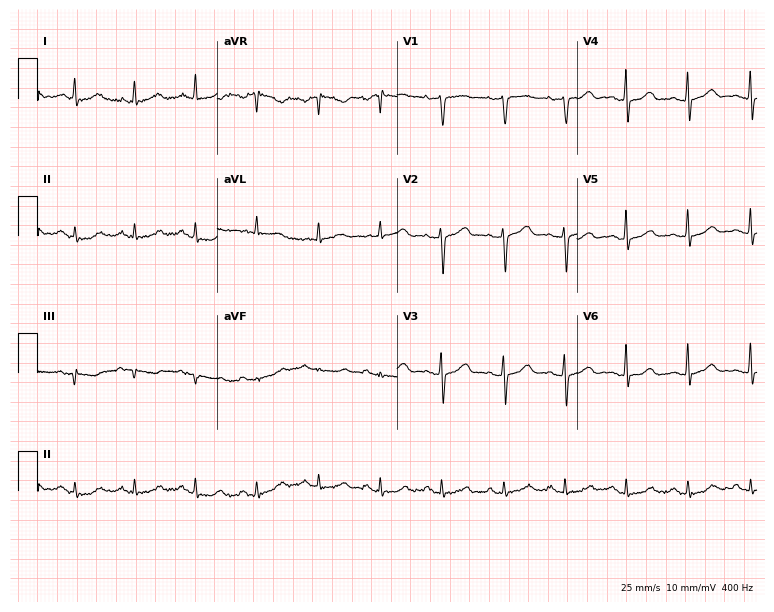
Electrocardiogram, a 57-year-old woman. Of the six screened findings (first-degree AV block, right bundle branch block (RBBB), left bundle branch block (LBBB), sinus bradycardia, atrial fibrillation (AF), sinus tachycardia), none is recorded. Only these six findings were labelled.